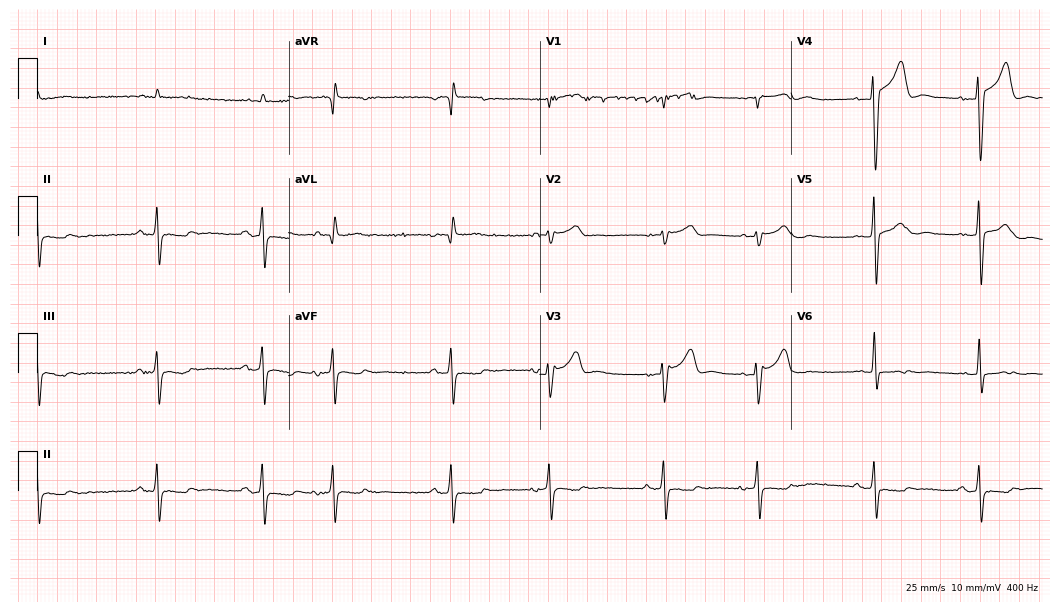
ECG (10.2-second recording at 400 Hz) — a man, 72 years old. Screened for six findings — first-degree AV block, right bundle branch block, left bundle branch block, sinus bradycardia, atrial fibrillation, sinus tachycardia — none is recorded. Only these six findings were labelled.